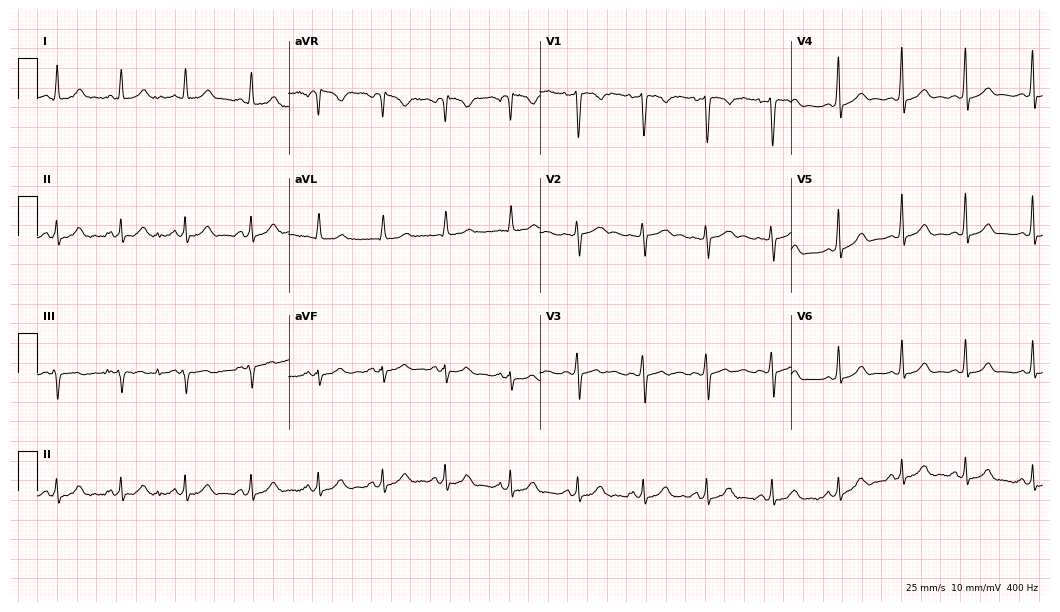
12-lead ECG from a female, 20 years old. Screened for six findings — first-degree AV block, right bundle branch block, left bundle branch block, sinus bradycardia, atrial fibrillation, sinus tachycardia — none is recorded.